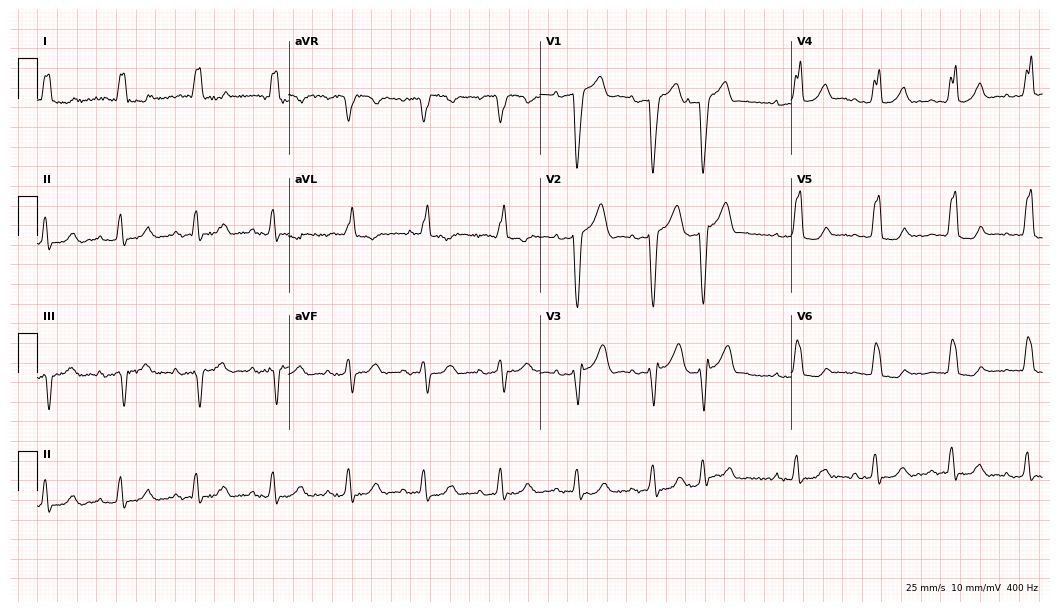
Electrocardiogram (10.2-second recording at 400 Hz), a female, 84 years old. Interpretation includes left bundle branch block.